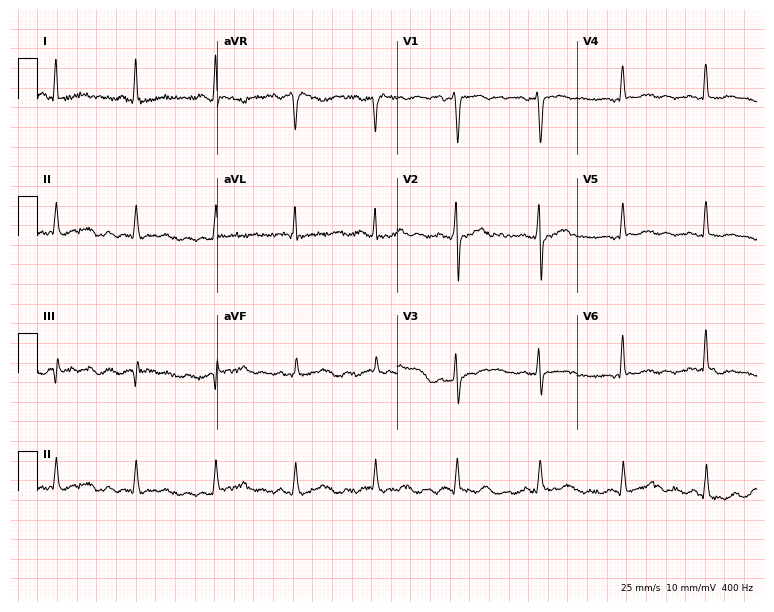
Resting 12-lead electrocardiogram (7.3-second recording at 400 Hz). Patient: a 41-year-old female. None of these six findings is recorded: first-degree AV block, right bundle branch block, left bundle branch block, sinus bradycardia, atrial fibrillation, sinus tachycardia.